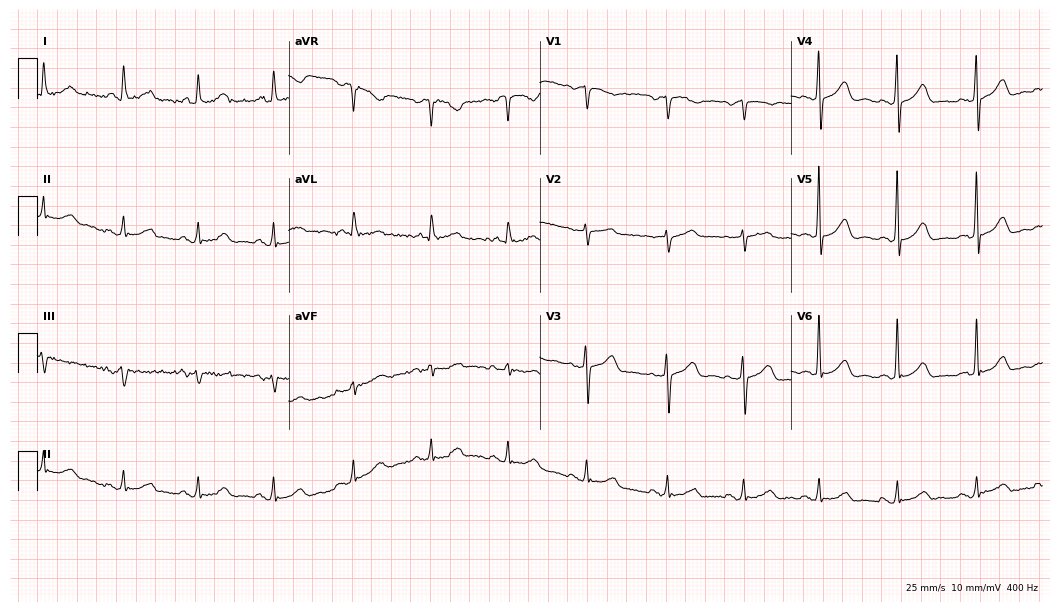
Electrocardiogram, a female, 78 years old. Overall reading on record: normal ECG.